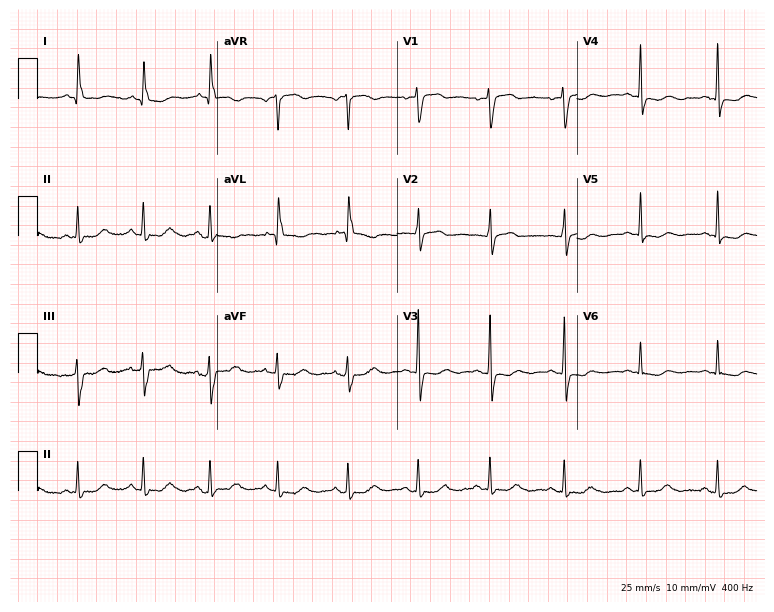
12-lead ECG from a 53-year-old male (7.3-second recording at 400 Hz). No first-degree AV block, right bundle branch block (RBBB), left bundle branch block (LBBB), sinus bradycardia, atrial fibrillation (AF) or sinus tachycardia recorded for this tracing. Other findings, if any, are not listed.